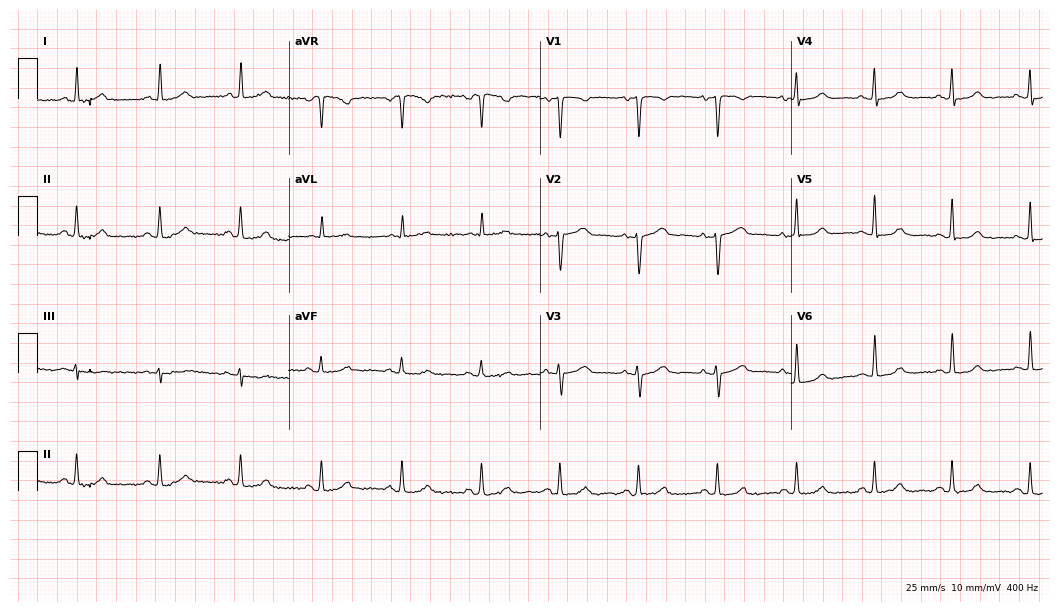
Standard 12-lead ECG recorded from a woman, 53 years old (10.2-second recording at 400 Hz). None of these six findings is recorded: first-degree AV block, right bundle branch block, left bundle branch block, sinus bradycardia, atrial fibrillation, sinus tachycardia. Findings outside these six are not listed.